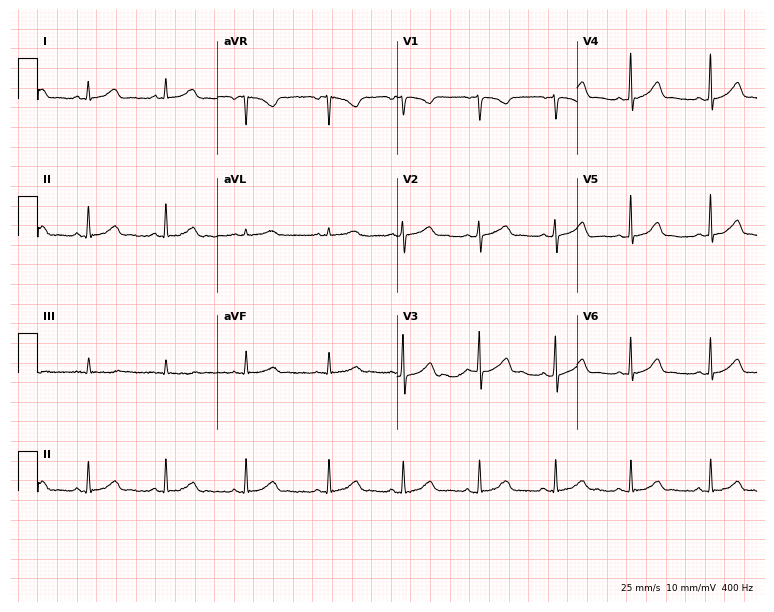
Standard 12-lead ECG recorded from a woman, 28 years old (7.3-second recording at 400 Hz). Read as a normal ECG.